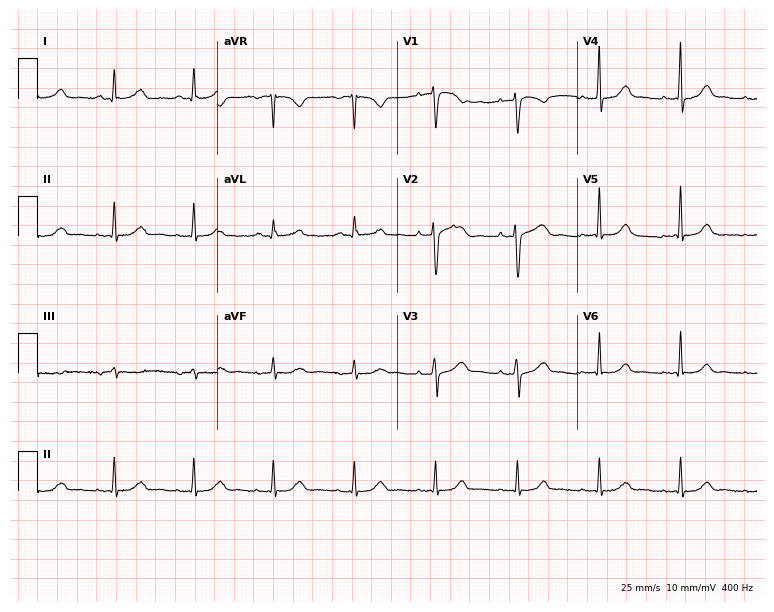
Resting 12-lead electrocardiogram (7.3-second recording at 400 Hz). Patient: a woman, 43 years old. Read as a normal ECG.